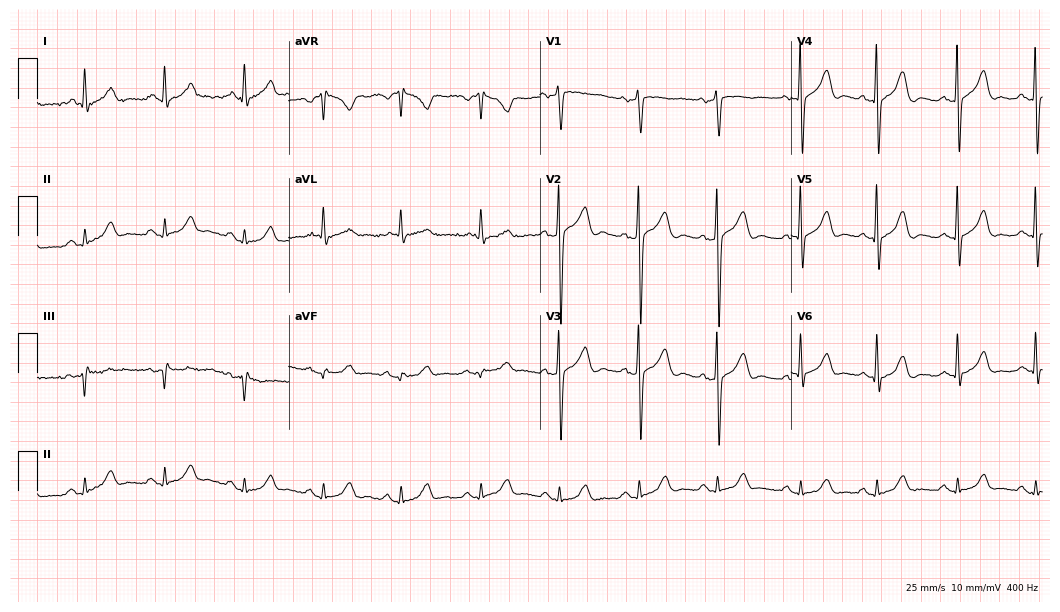
12-lead ECG from a 79-year-old woman. Screened for six findings — first-degree AV block, right bundle branch block (RBBB), left bundle branch block (LBBB), sinus bradycardia, atrial fibrillation (AF), sinus tachycardia — none is recorded.